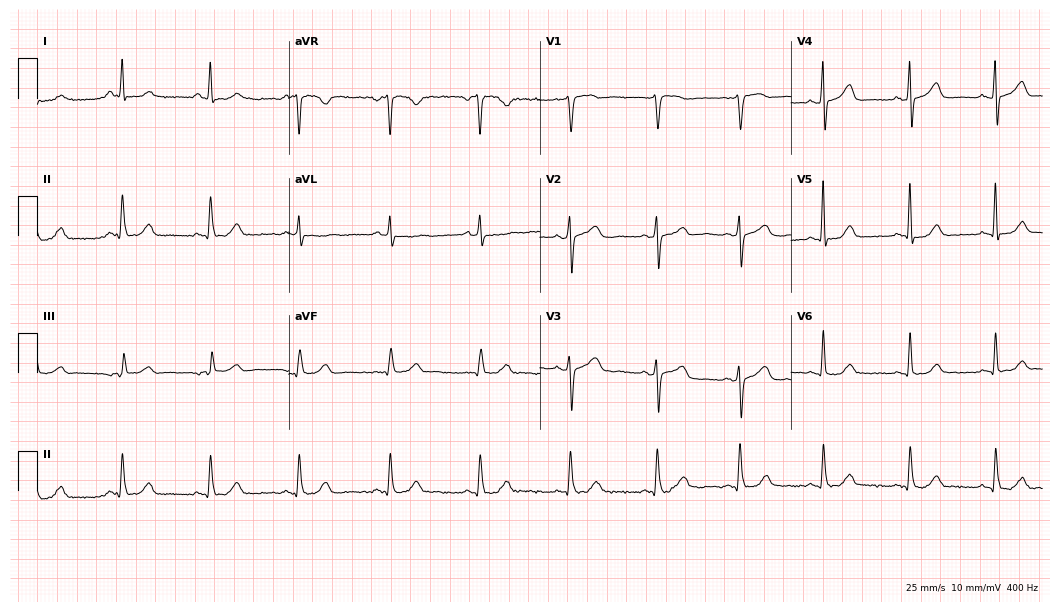
Electrocardiogram, a 60-year-old woman. Overall reading on record: normal ECG.